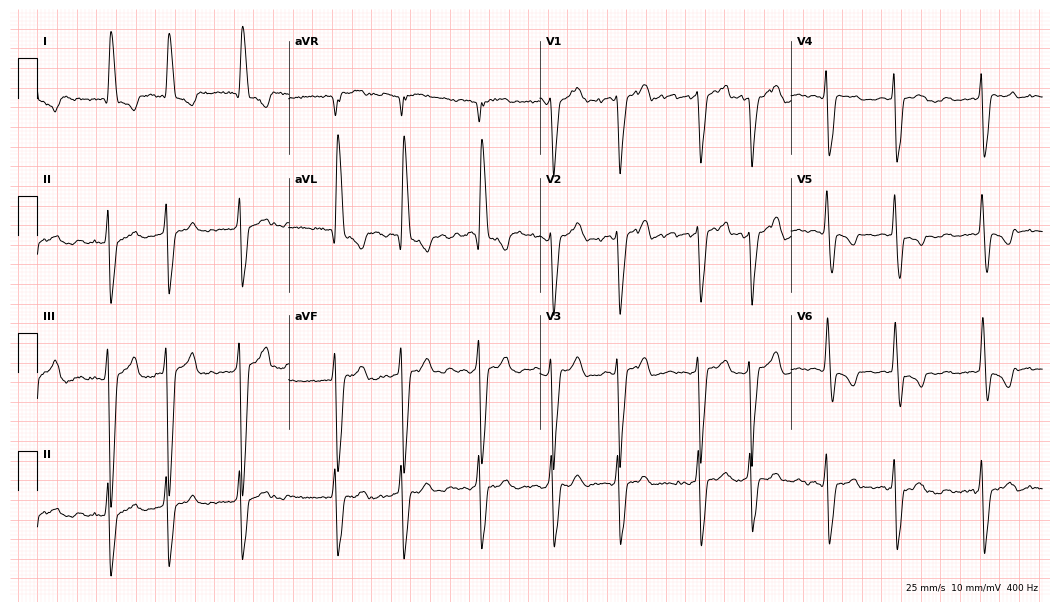
12-lead ECG from a 71-year-old female (10.2-second recording at 400 Hz). Shows left bundle branch block, atrial fibrillation.